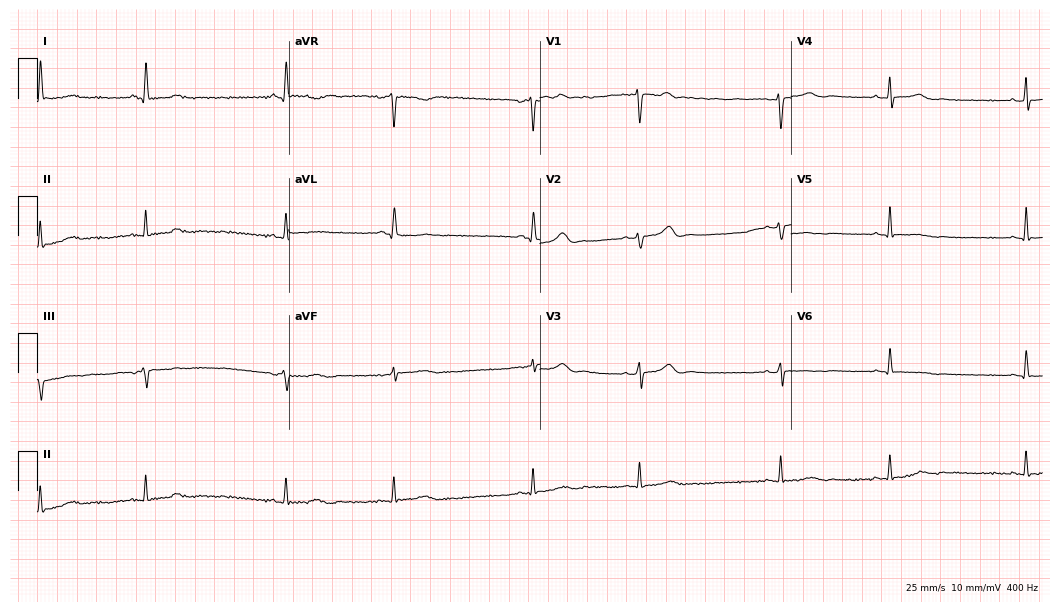
12-lead ECG (10.2-second recording at 400 Hz) from a 70-year-old female patient. Screened for six findings — first-degree AV block, right bundle branch block, left bundle branch block, sinus bradycardia, atrial fibrillation, sinus tachycardia — none is recorded.